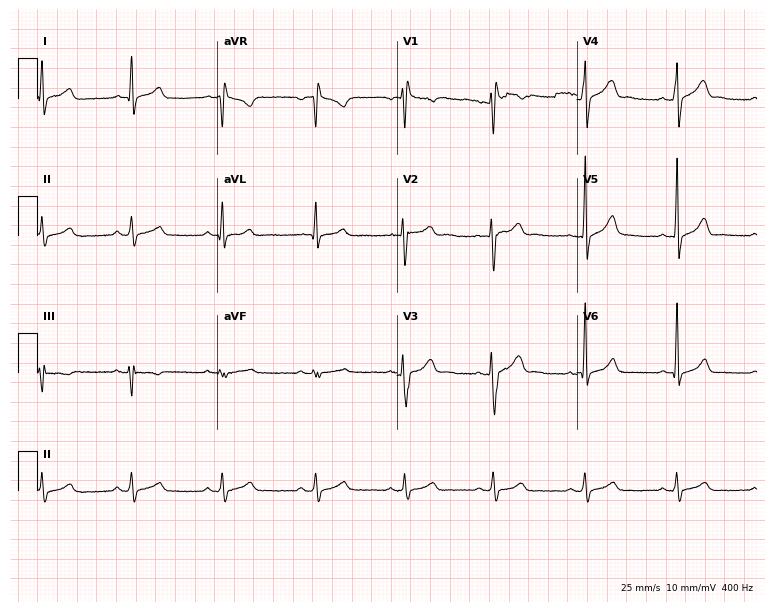
ECG — a male, 39 years old. Labelled as a normal ECG.